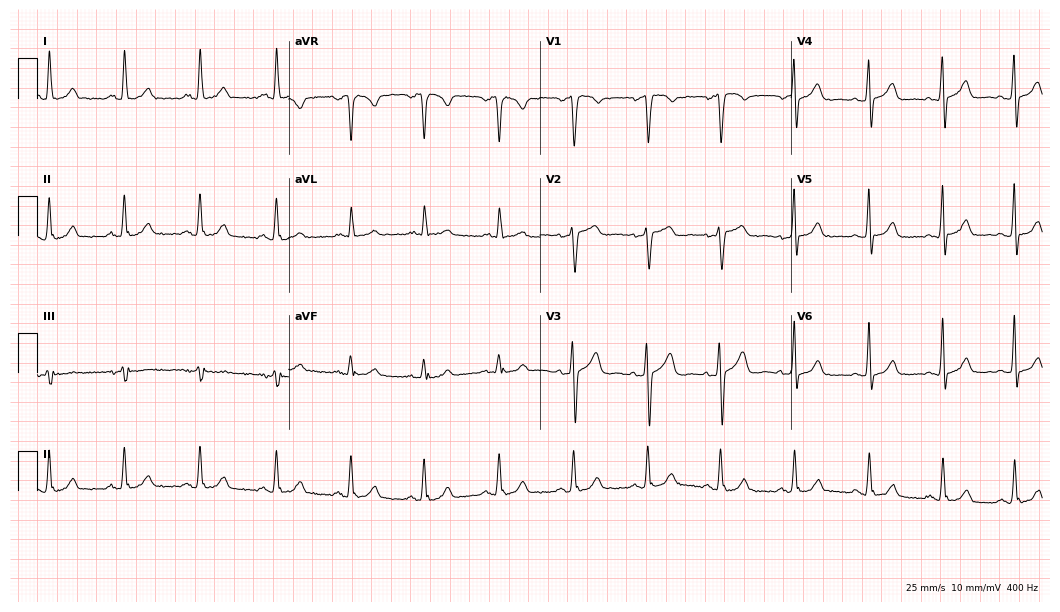
Standard 12-lead ECG recorded from a female, 38 years old (10.2-second recording at 400 Hz). Read as a normal ECG.